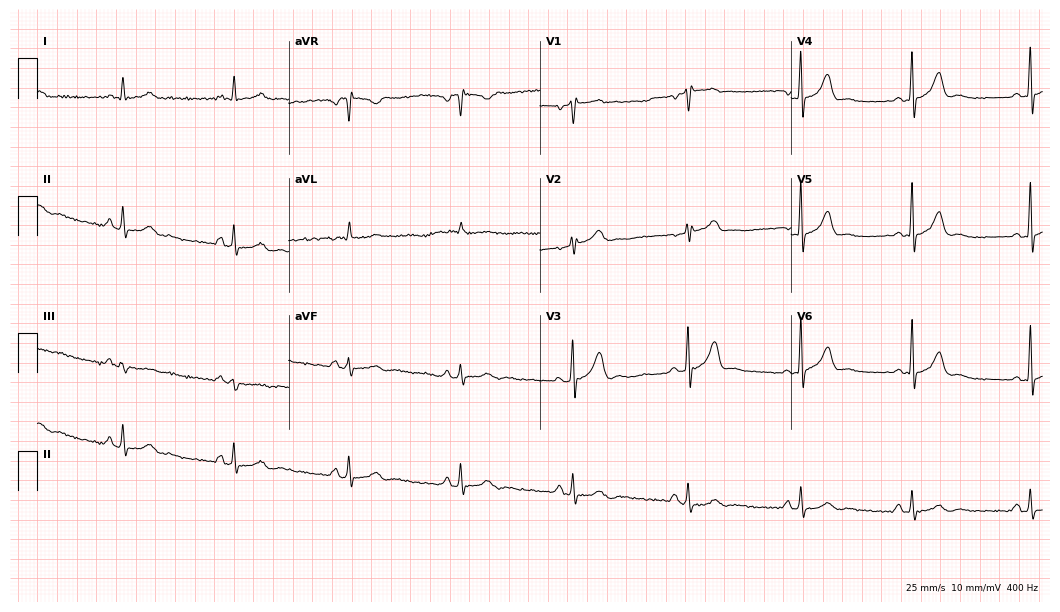
ECG — a male, 51 years old. Labelled as a normal ECG.